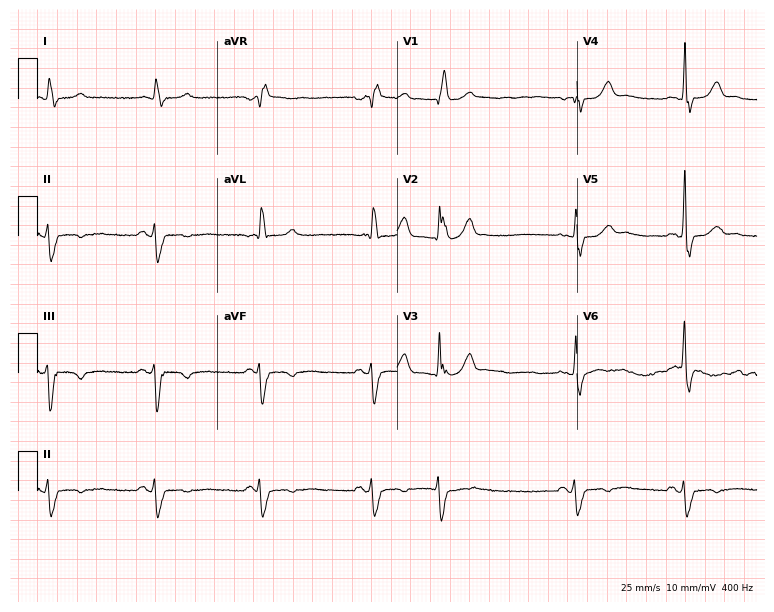
12-lead ECG (7.3-second recording at 400 Hz) from a 67-year-old male. Findings include right bundle branch block.